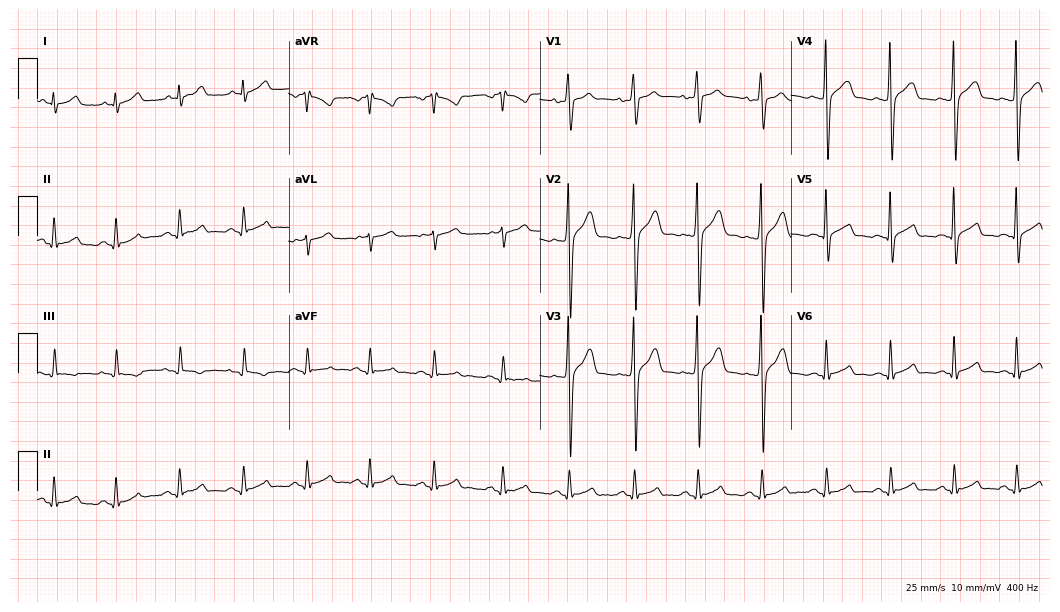
12-lead ECG from a male patient, 30 years old. Labelled as a normal ECG.